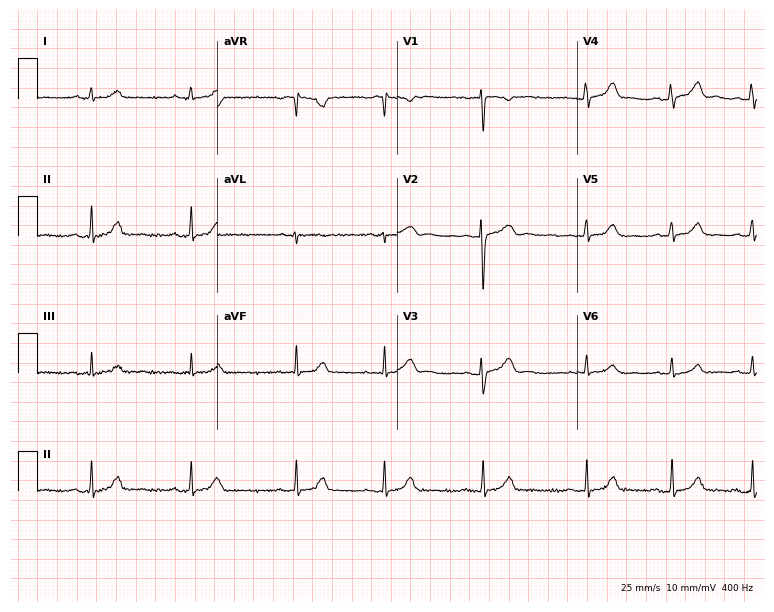
ECG — a woman, 26 years old. Screened for six findings — first-degree AV block, right bundle branch block, left bundle branch block, sinus bradycardia, atrial fibrillation, sinus tachycardia — none is recorded. Only these six findings were labelled.